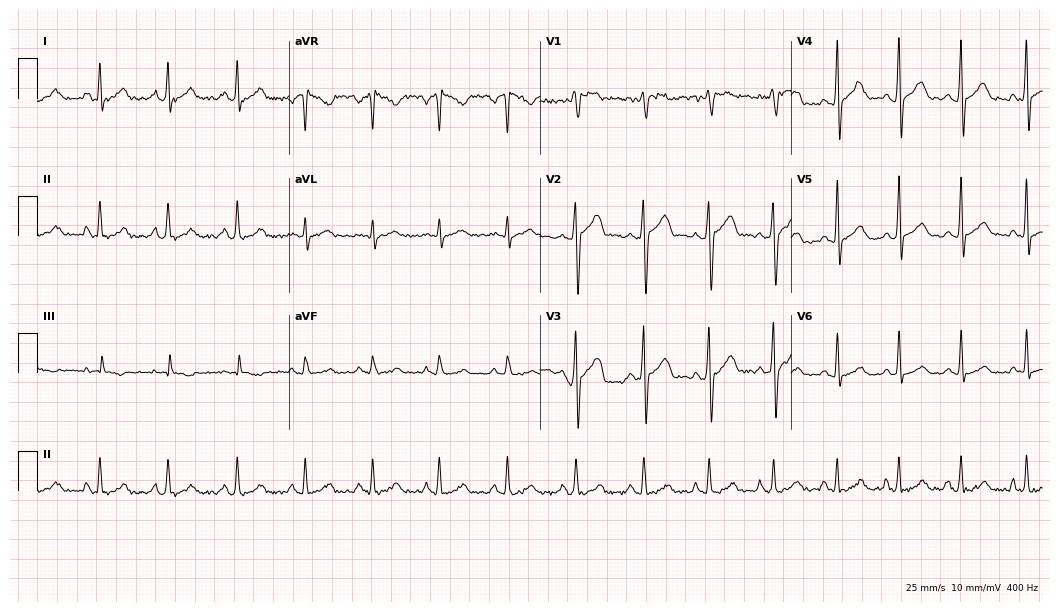
Standard 12-lead ECG recorded from a male patient, 23 years old (10.2-second recording at 400 Hz). Read as a normal ECG.